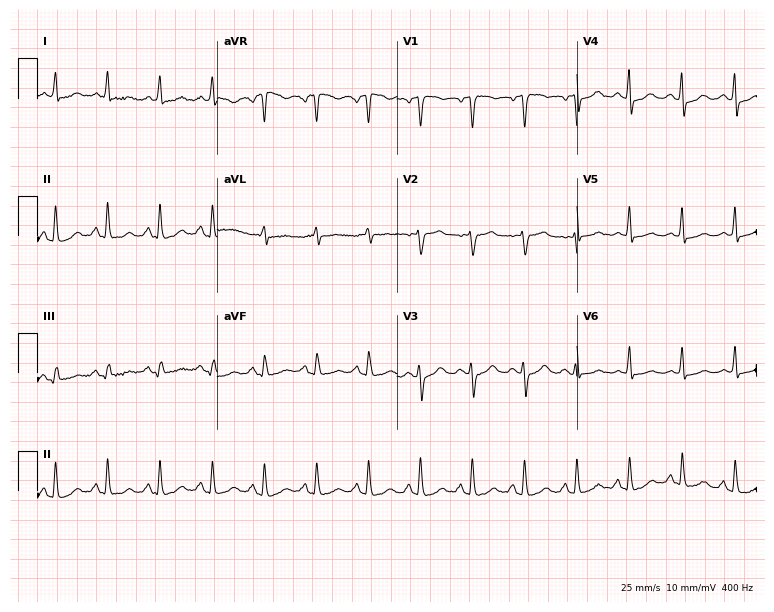
Standard 12-lead ECG recorded from a male, 57 years old (7.3-second recording at 400 Hz). The tracing shows sinus tachycardia (a sinus rate of 100 beats per minute or more).